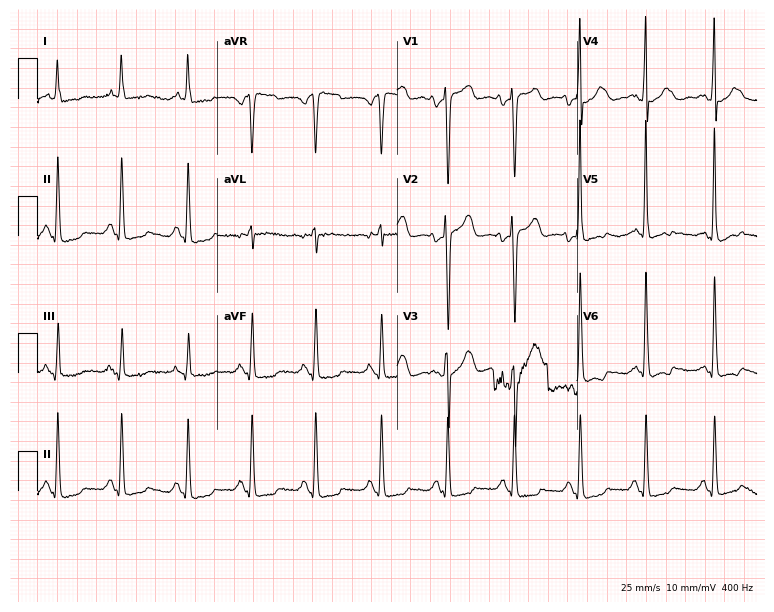
12-lead ECG from a female patient, 57 years old (7.3-second recording at 400 Hz). No first-degree AV block, right bundle branch block (RBBB), left bundle branch block (LBBB), sinus bradycardia, atrial fibrillation (AF) or sinus tachycardia recorded for this tracing.